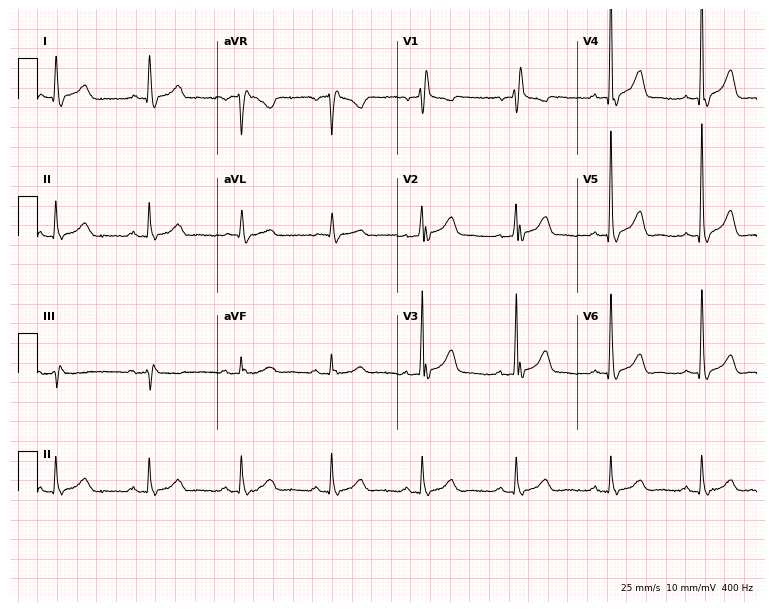
ECG — a 70-year-old male. Findings include right bundle branch block (RBBB).